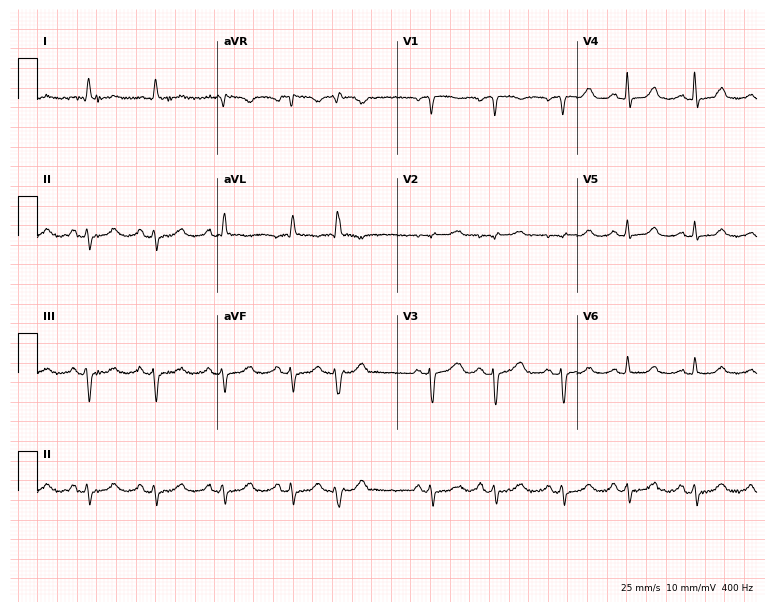
12-lead ECG (7.3-second recording at 400 Hz) from a female, 60 years old. Screened for six findings — first-degree AV block, right bundle branch block, left bundle branch block, sinus bradycardia, atrial fibrillation, sinus tachycardia — none is recorded.